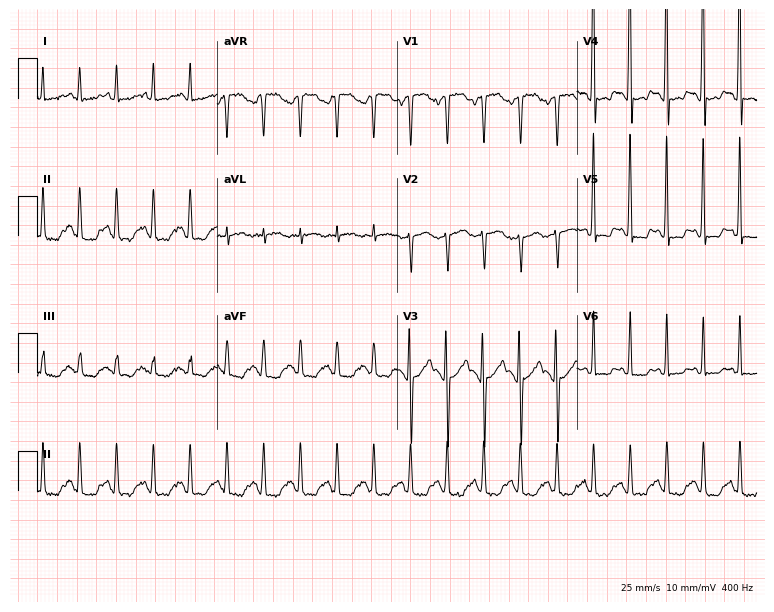
12-lead ECG from a 42-year-old woman. Shows sinus tachycardia (a sinus rate of 100 beats per minute or more).